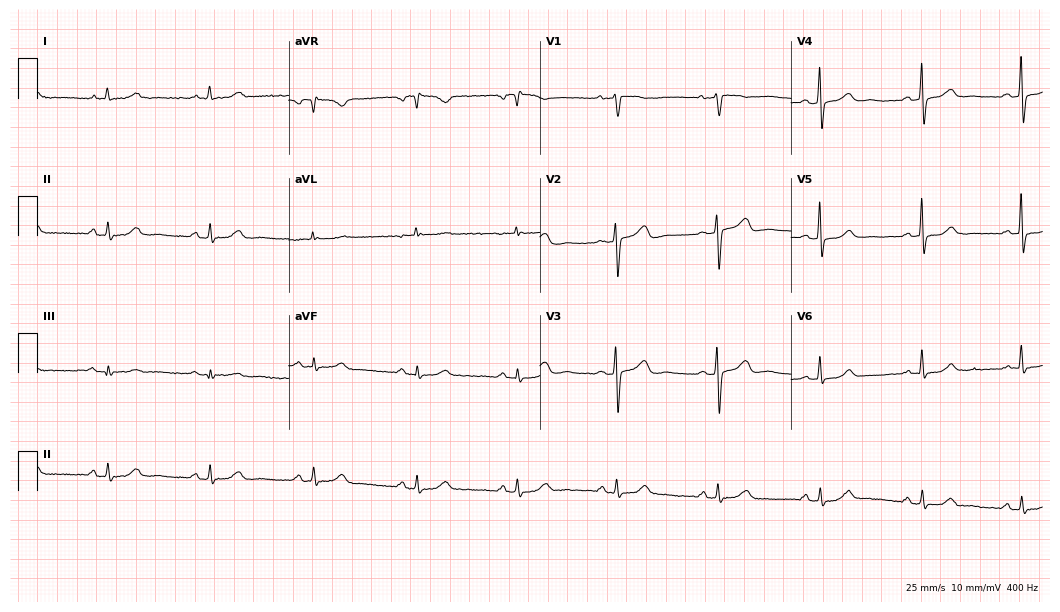
Resting 12-lead electrocardiogram (10.2-second recording at 400 Hz). Patient: a man, 55 years old. None of these six findings is recorded: first-degree AV block, right bundle branch block, left bundle branch block, sinus bradycardia, atrial fibrillation, sinus tachycardia. Only these six findings were labelled.